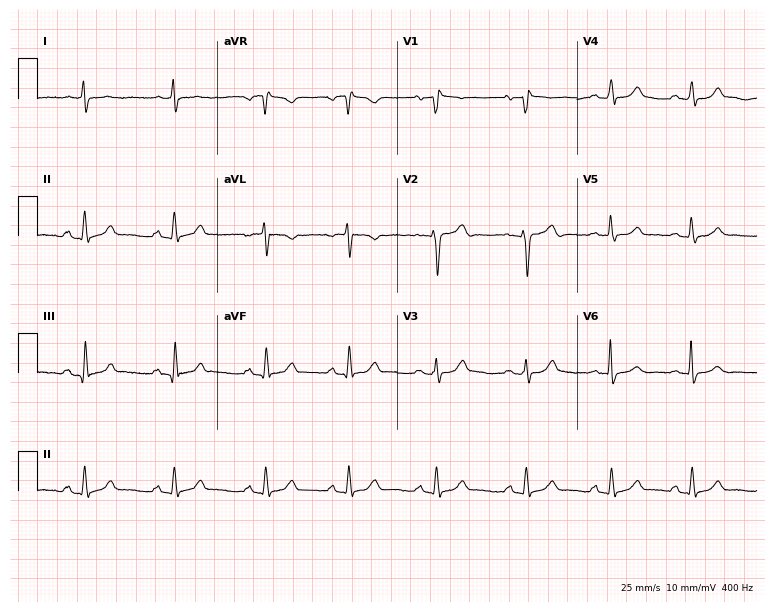
Resting 12-lead electrocardiogram (7.3-second recording at 400 Hz). Patient: a 22-year-old female. None of these six findings is recorded: first-degree AV block, right bundle branch block (RBBB), left bundle branch block (LBBB), sinus bradycardia, atrial fibrillation (AF), sinus tachycardia.